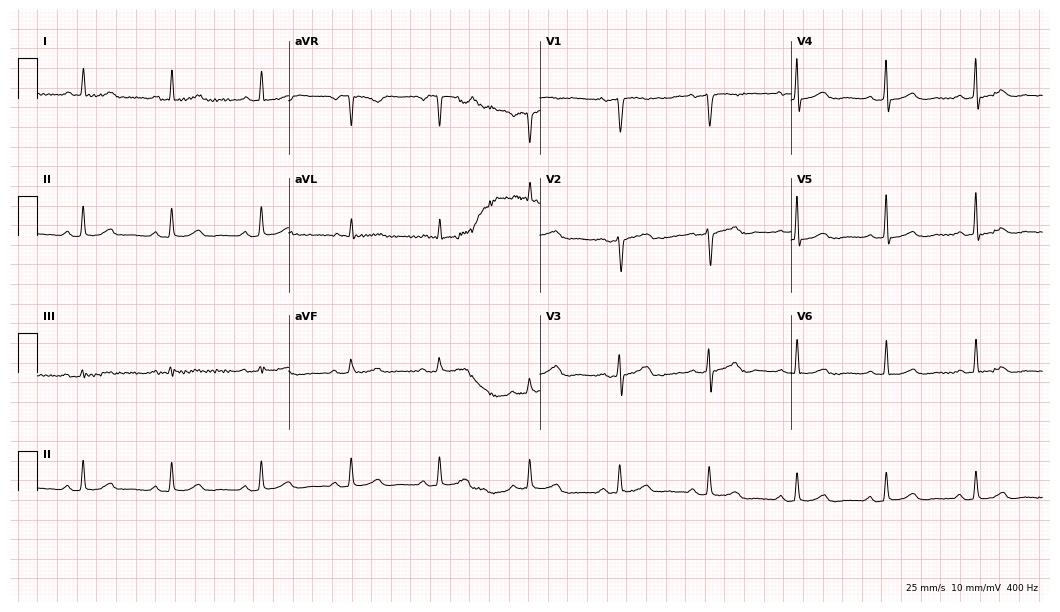
Resting 12-lead electrocardiogram. Patient: a female, 46 years old. Read as a normal ECG.